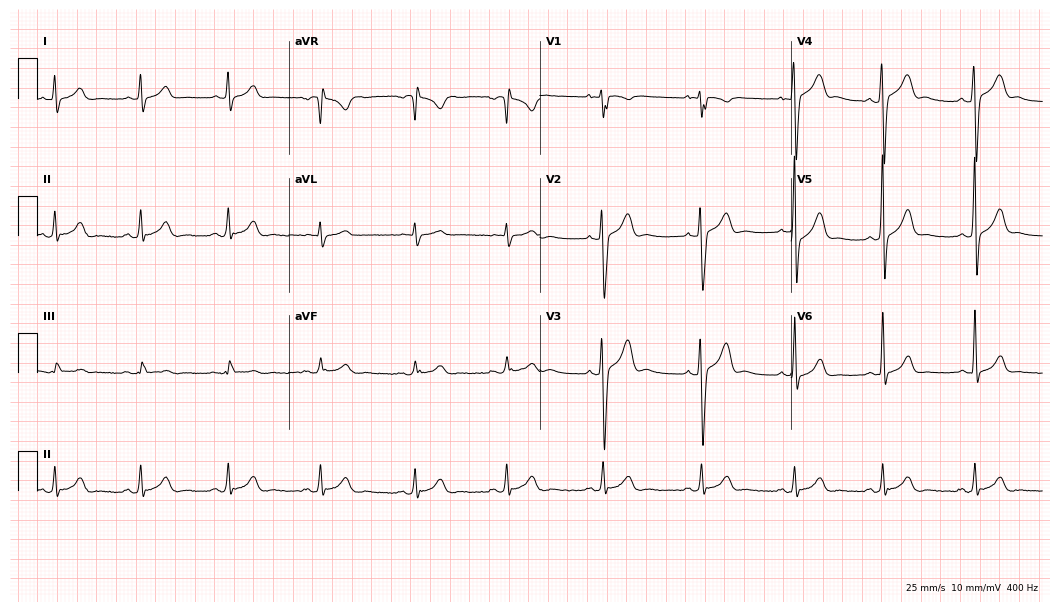
Resting 12-lead electrocardiogram (10.2-second recording at 400 Hz). Patient: a man, 22 years old. Read as a normal ECG.